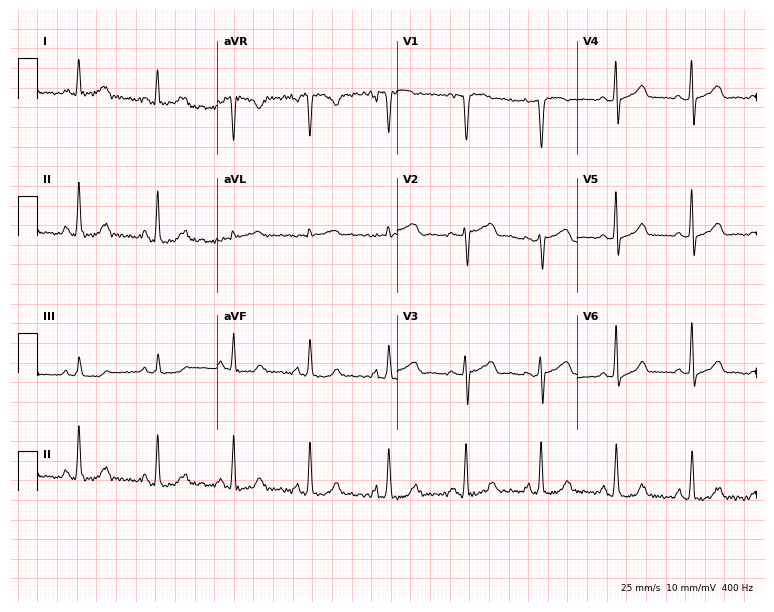
Resting 12-lead electrocardiogram. Patient: a 40-year-old woman. None of these six findings is recorded: first-degree AV block, right bundle branch block (RBBB), left bundle branch block (LBBB), sinus bradycardia, atrial fibrillation (AF), sinus tachycardia.